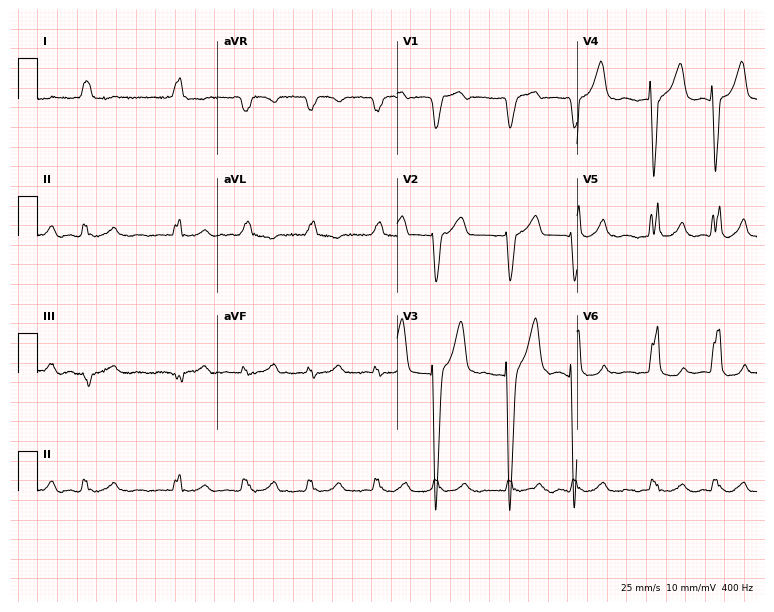
Standard 12-lead ECG recorded from a male patient, 79 years old. The tracing shows left bundle branch block, atrial fibrillation.